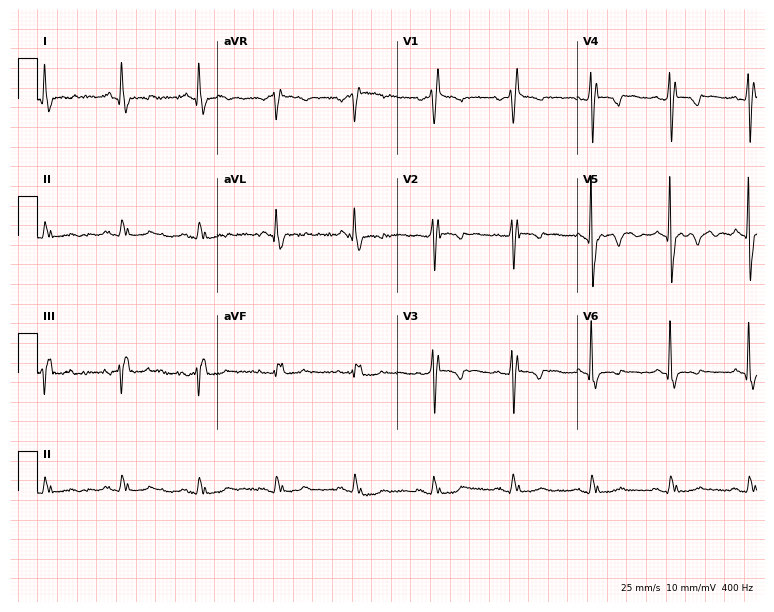
Standard 12-lead ECG recorded from a male patient, 59 years old (7.3-second recording at 400 Hz). The tracing shows right bundle branch block.